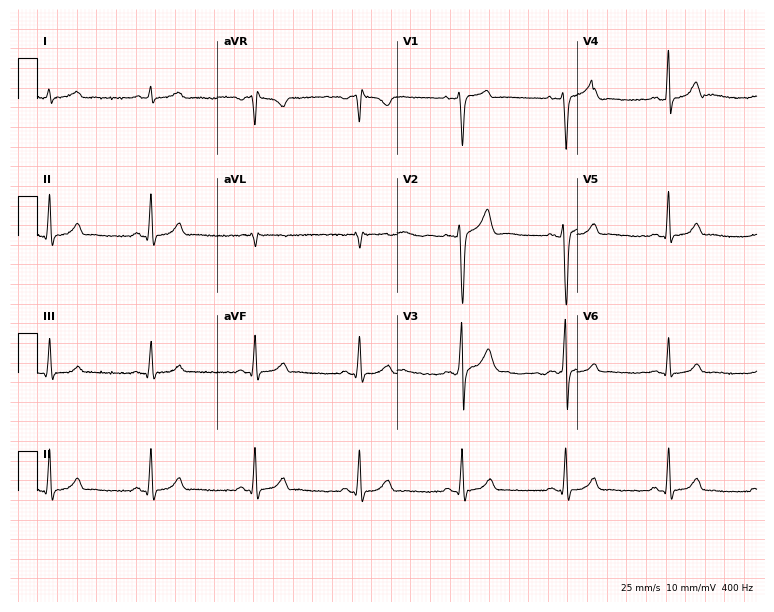
12-lead ECG from a male patient, 74 years old (7.3-second recording at 400 Hz). No first-degree AV block, right bundle branch block, left bundle branch block, sinus bradycardia, atrial fibrillation or sinus tachycardia recorded for this tracing.